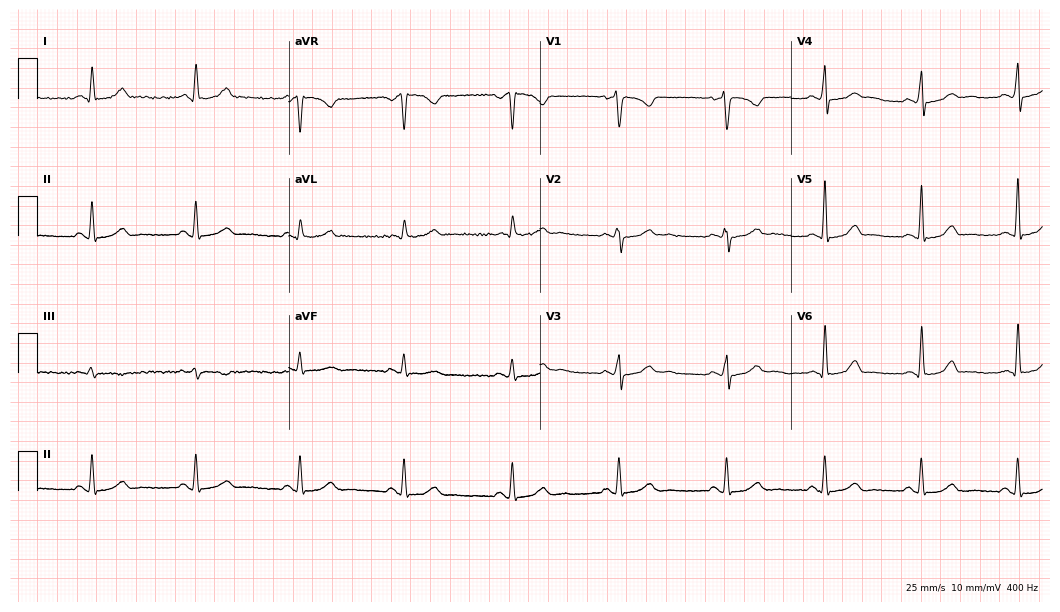
Standard 12-lead ECG recorded from a 53-year-old female patient. Read as a normal ECG.